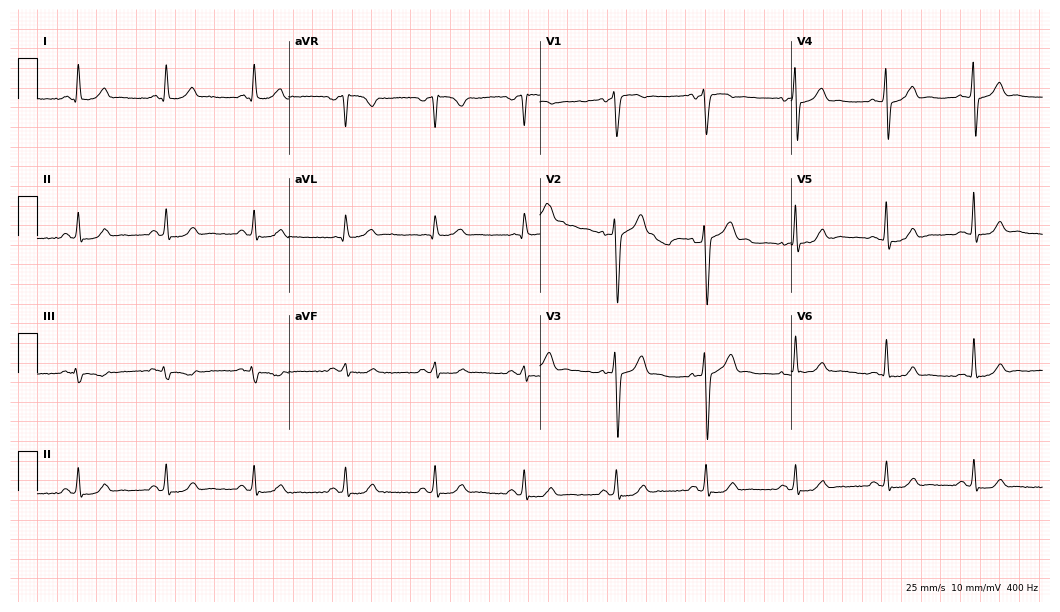
Standard 12-lead ECG recorded from a male, 48 years old (10.2-second recording at 400 Hz). None of these six findings is recorded: first-degree AV block, right bundle branch block, left bundle branch block, sinus bradycardia, atrial fibrillation, sinus tachycardia.